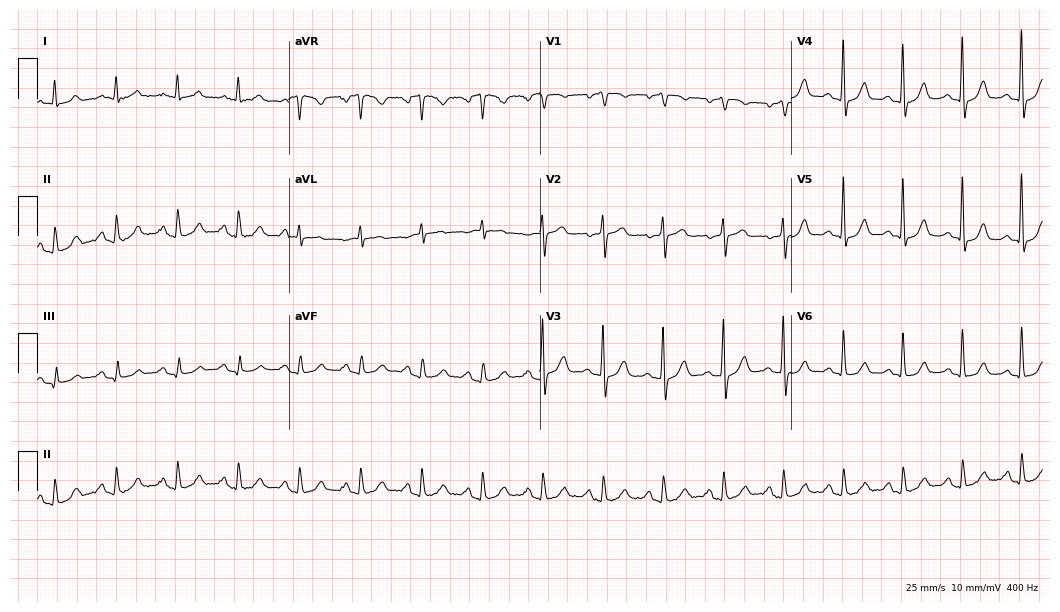
12-lead ECG from a 74-year-old woman (10.2-second recording at 400 Hz). Recorded interpretation: within normal limits.